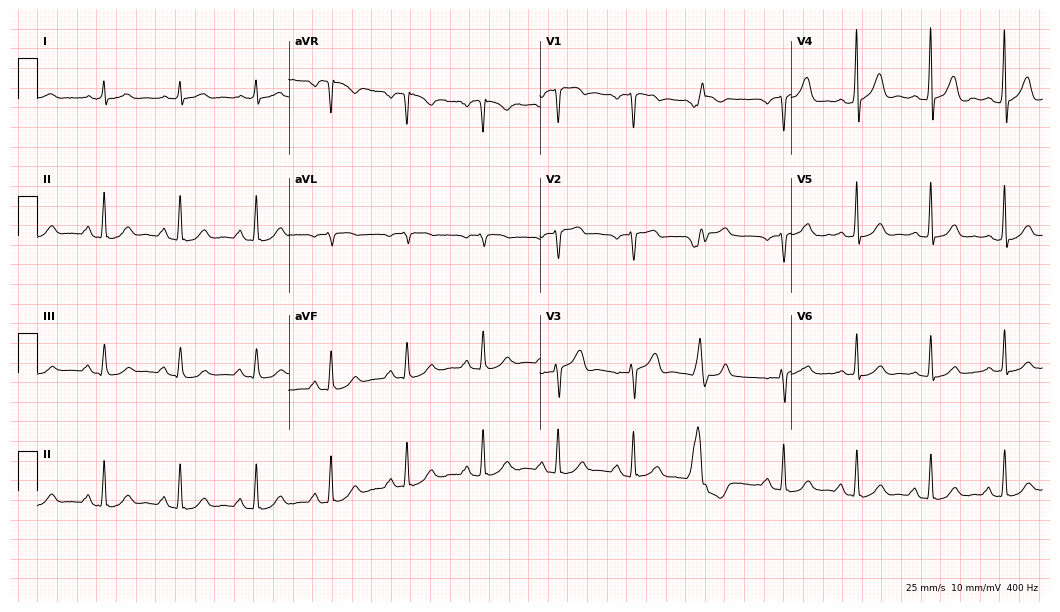
12-lead ECG from a male patient, 84 years old. No first-degree AV block, right bundle branch block, left bundle branch block, sinus bradycardia, atrial fibrillation or sinus tachycardia recorded for this tracing.